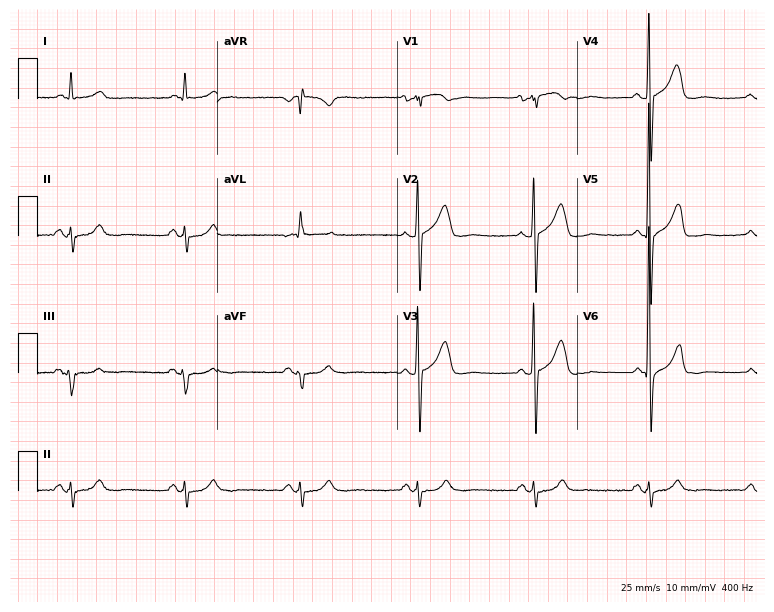
12-lead ECG from a male patient, 66 years old (7.3-second recording at 400 Hz). No first-degree AV block, right bundle branch block, left bundle branch block, sinus bradycardia, atrial fibrillation or sinus tachycardia recorded for this tracing. Other findings, if any, are not listed.